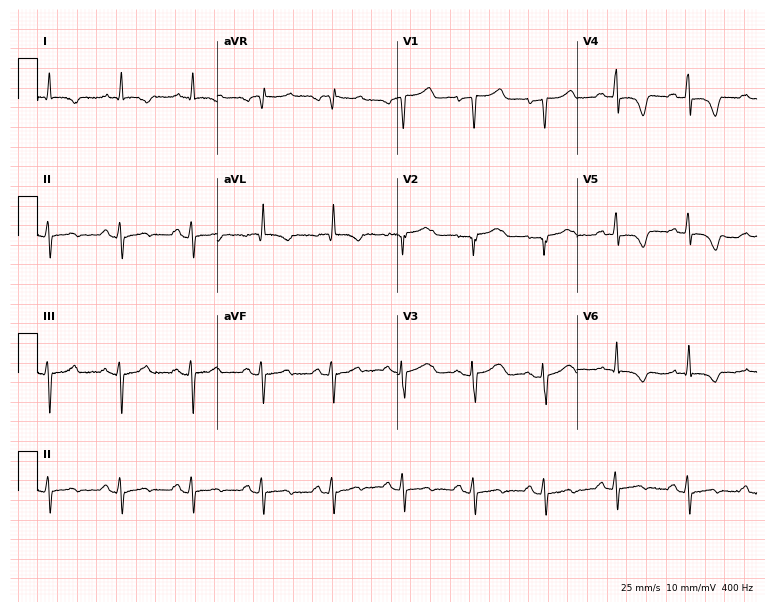
12-lead ECG from a woman, 73 years old (7.3-second recording at 400 Hz). No first-degree AV block, right bundle branch block (RBBB), left bundle branch block (LBBB), sinus bradycardia, atrial fibrillation (AF) or sinus tachycardia recorded for this tracing.